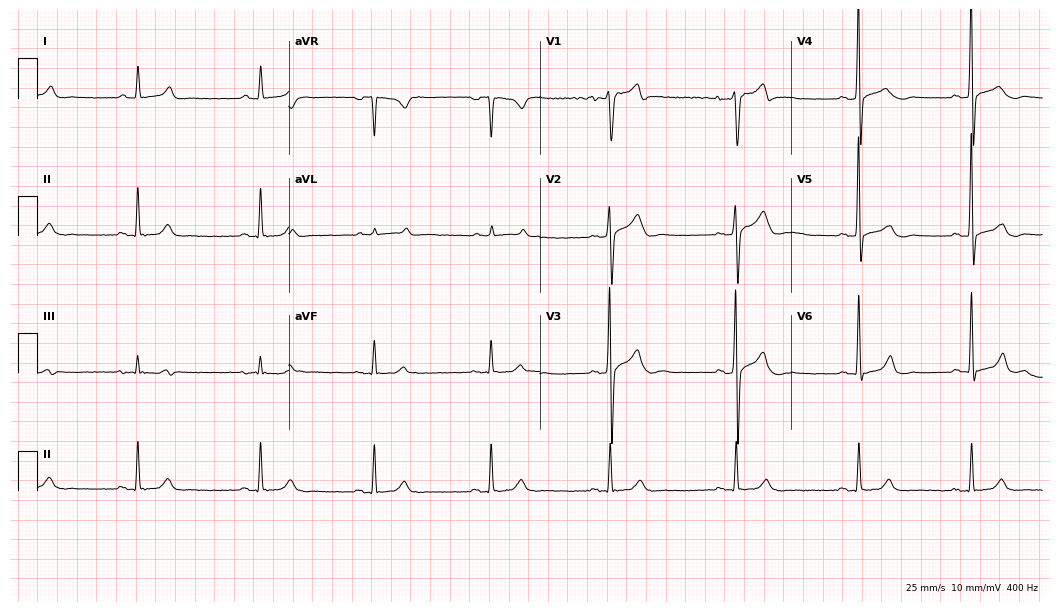
ECG (10.2-second recording at 400 Hz) — a 40-year-old man. Findings include sinus bradycardia (a sinus rate of 50 beats per minute or less).